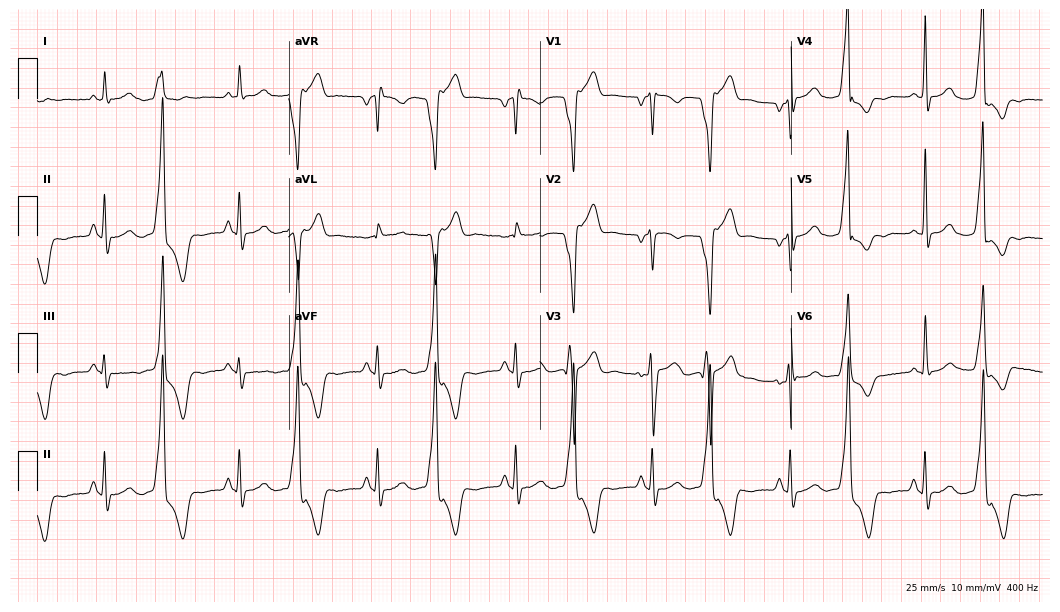
12-lead ECG from a man, 62 years old. Screened for six findings — first-degree AV block, right bundle branch block, left bundle branch block, sinus bradycardia, atrial fibrillation, sinus tachycardia — none is recorded. Other findings, if any, are not listed.